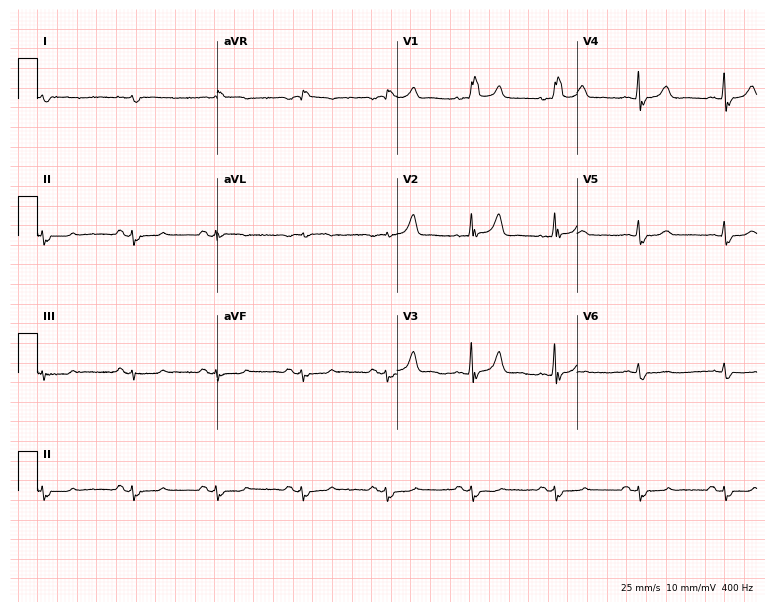
Standard 12-lead ECG recorded from an 83-year-old male patient. The tracing shows right bundle branch block (RBBB).